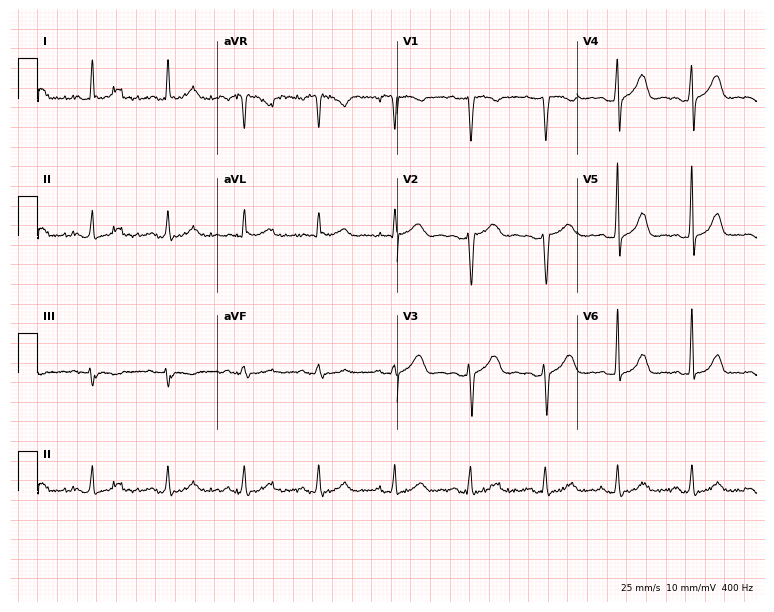
ECG (7.3-second recording at 400 Hz) — a female, 33 years old. Labelled as a normal ECG.